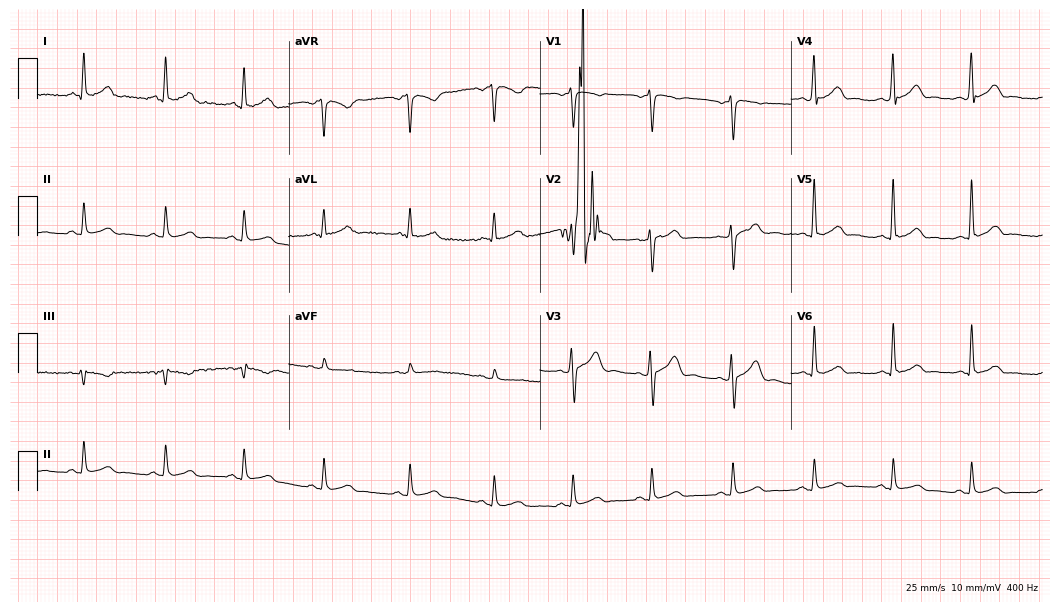
Resting 12-lead electrocardiogram. Patient: a male, 42 years old. None of these six findings is recorded: first-degree AV block, right bundle branch block (RBBB), left bundle branch block (LBBB), sinus bradycardia, atrial fibrillation (AF), sinus tachycardia. Only these six findings were labelled.